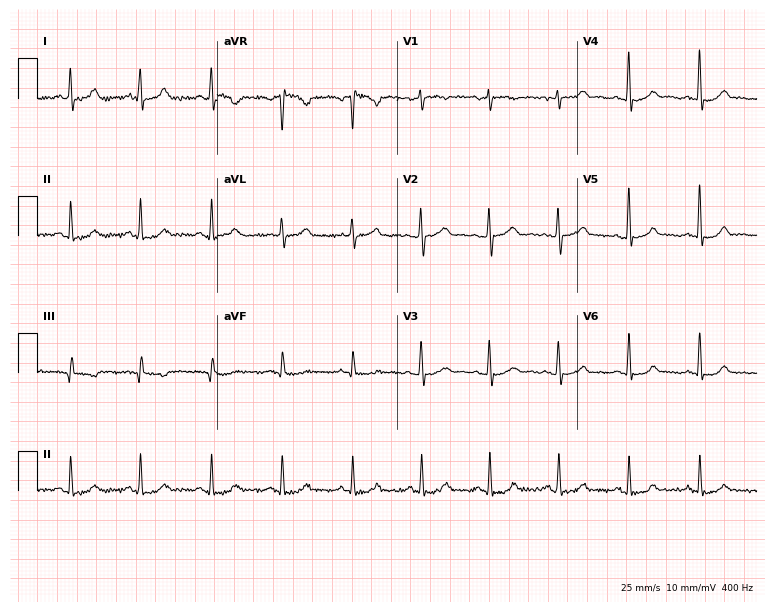
Resting 12-lead electrocardiogram. Patient: a 39-year-old female. None of these six findings is recorded: first-degree AV block, right bundle branch block, left bundle branch block, sinus bradycardia, atrial fibrillation, sinus tachycardia.